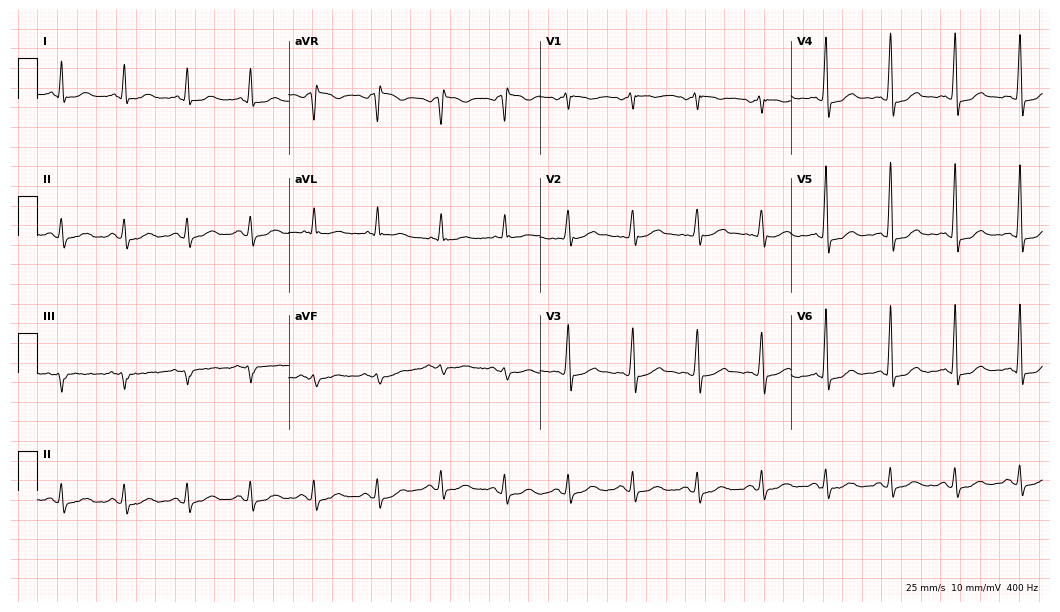
Standard 12-lead ECG recorded from a male patient, 67 years old (10.2-second recording at 400 Hz). None of these six findings is recorded: first-degree AV block, right bundle branch block, left bundle branch block, sinus bradycardia, atrial fibrillation, sinus tachycardia. Other findings, if any, are not listed.